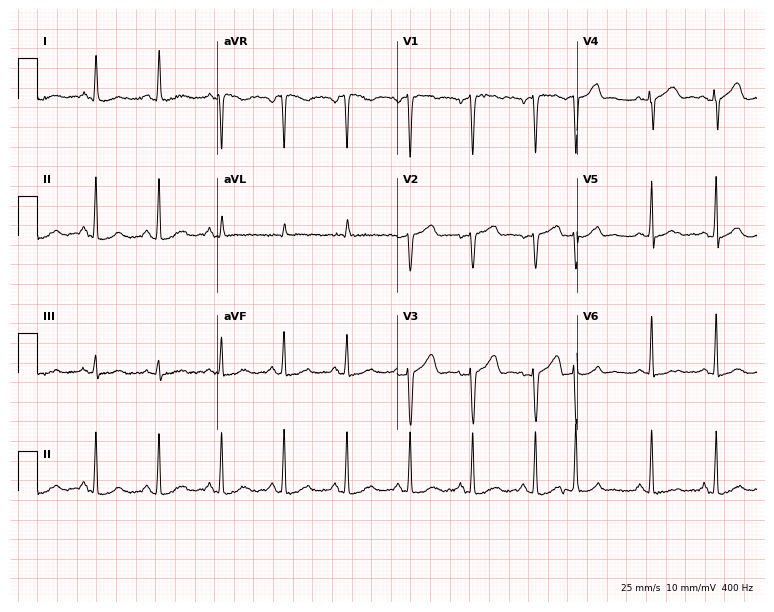
Electrocardiogram, a 49-year-old female patient. Of the six screened findings (first-degree AV block, right bundle branch block (RBBB), left bundle branch block (LBBB), sinus bradycardia, atrial fibrillation (AF), sinus tachycardia), none is recorded.